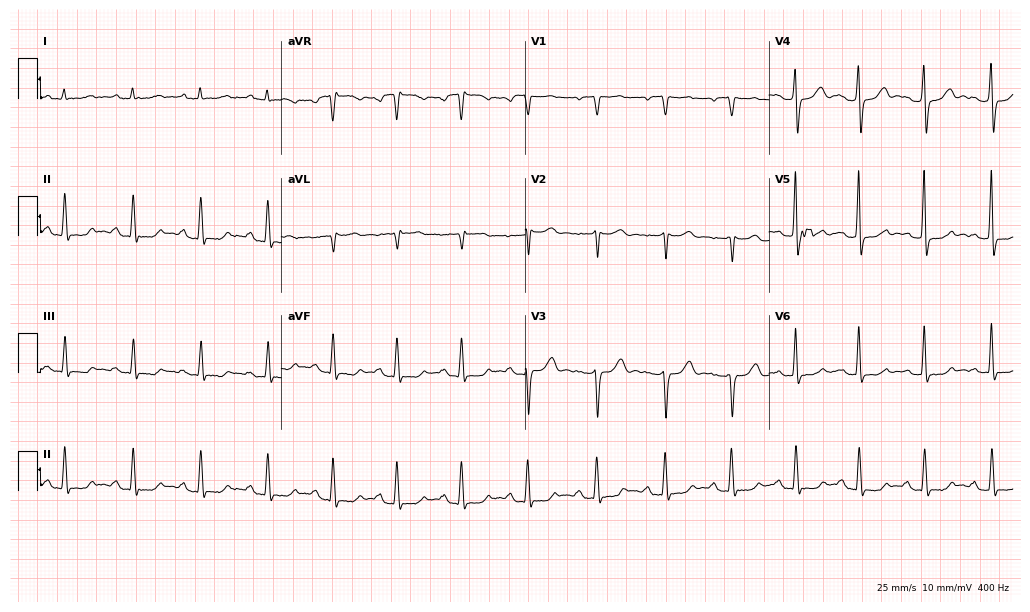
Electrocardiogram (9.9-second recording at 400 Hz), a female, 45 years old. Overall reading on record: normal ECG.